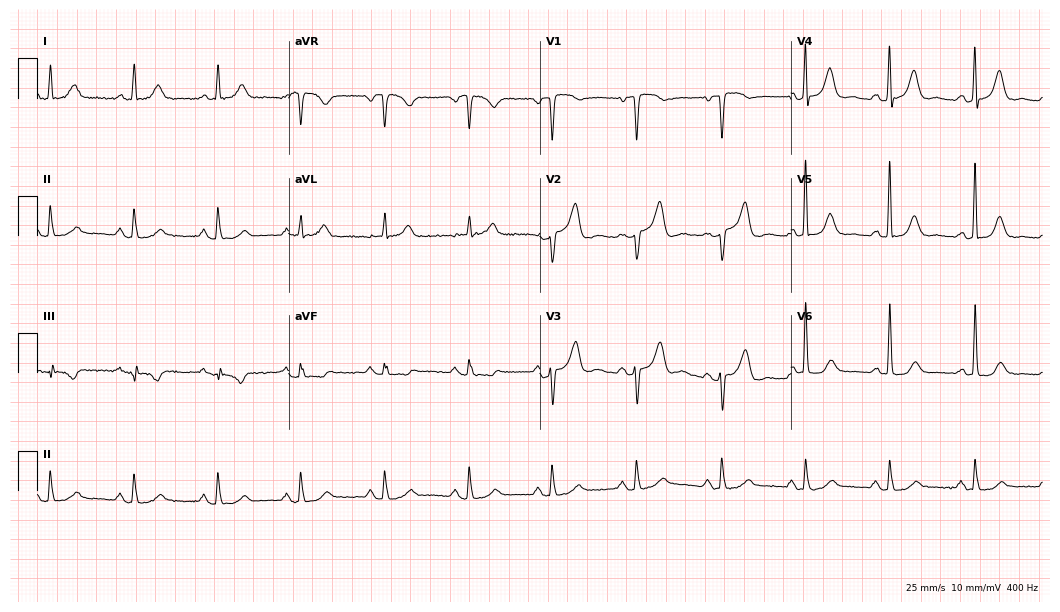
Electrocardiogram (10.2-second recording at 400 Hz), a 70-year-old female patient. Of the six screened findings (first-degree AV block, right bundle branch block, left bundle branch block, sinus bradycardia, atrial fibrillation, sinus tachycardia), none is recorded.